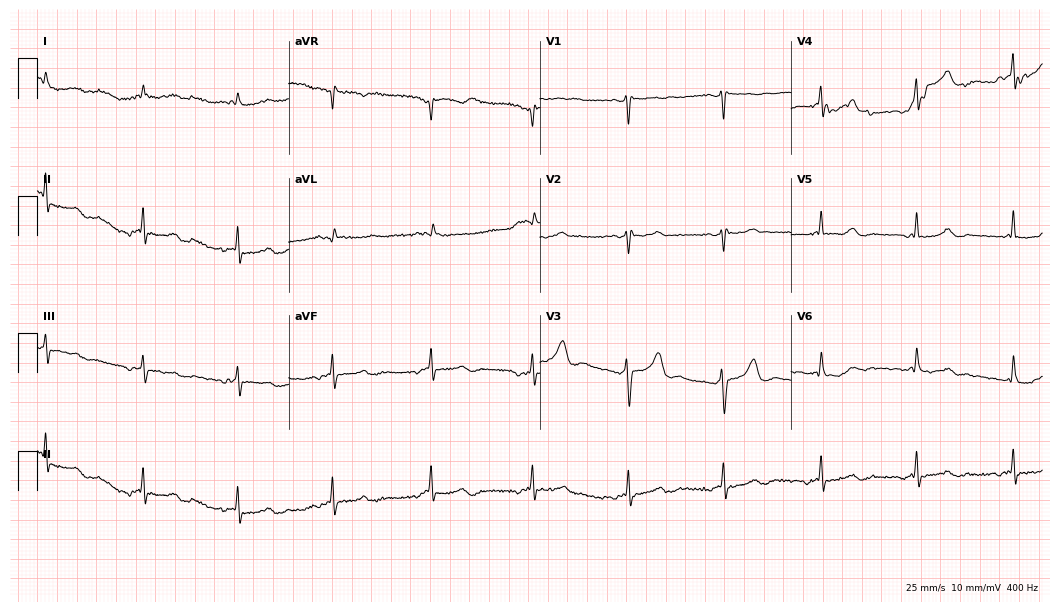
Standard 12-lead ECG recorded from a female, 76 years old. None of these six findings is recorded: first-degree AV block, right bundle branch block (RBBB), left bundle branch block (LBBB), sinus bradycardia, atrial fibrillation (AF), sinus tachycardia. Only these six findings were labelled.